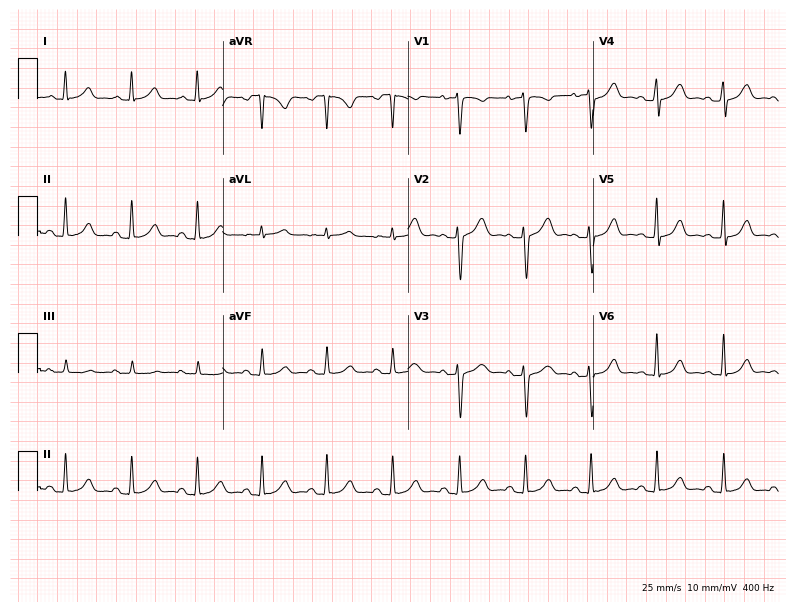
ECG (7.6-second recording at 400 Hz) — a female, 30 years old. Labelled as a normal ECG.